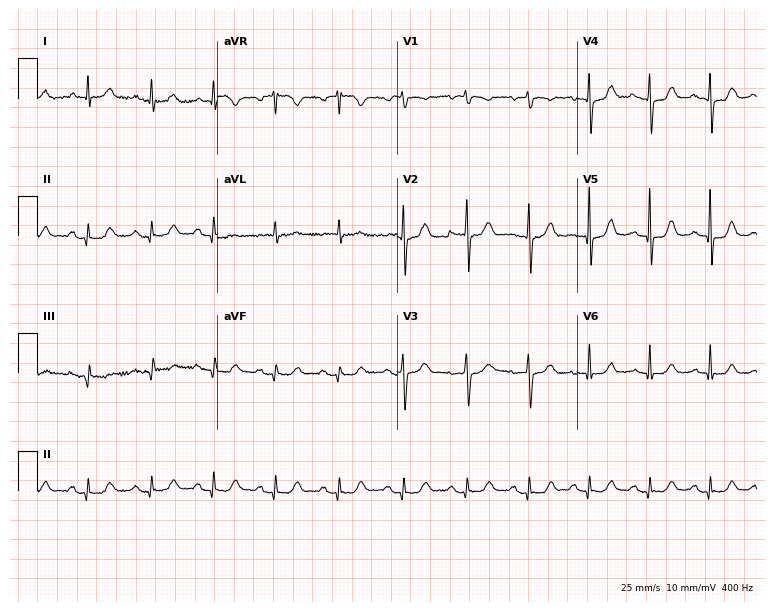
Electrocardiogram, a male patient, 82 years old. Overall reading on record: normal ECG.